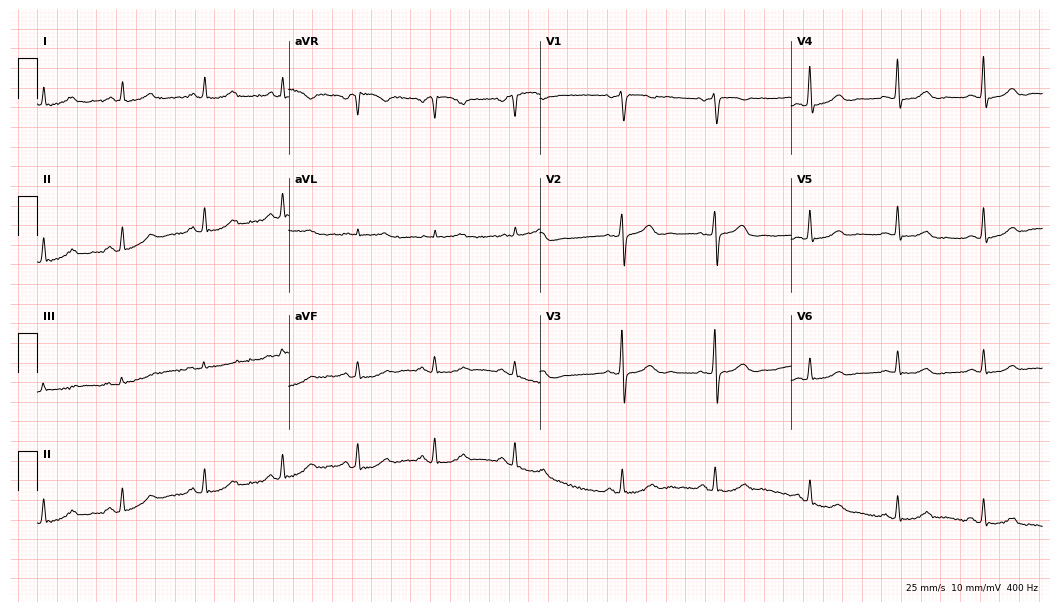
ECG — a woman, 69 years old. Screened for six findings — first-degree AV block, right bundle branch block (RBBB), left bundle branch block (LBBB), sinus bradycardia, atrial fibrillation (AF), sinus tachycardia — none is recorded. Findings outside these six are not listed.